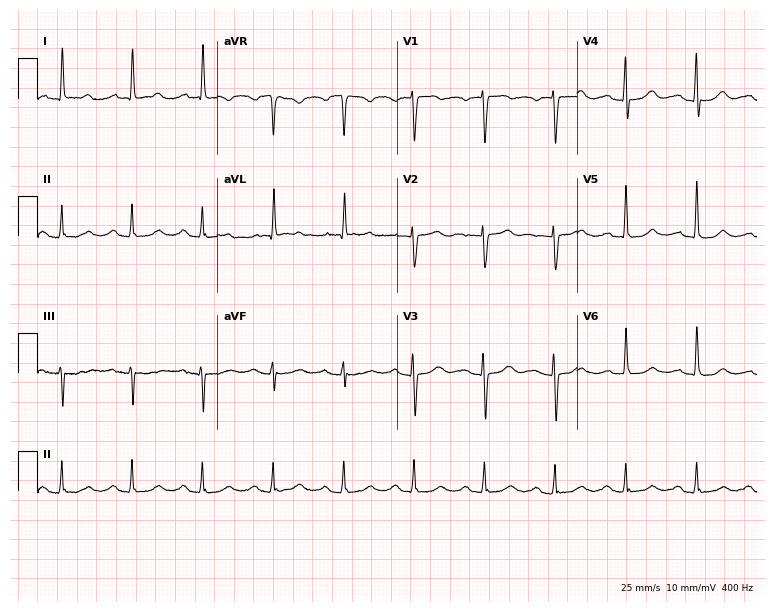
Electrocardiogram (7.3-second recording at 400 Hz), a 76-year-old female. Interpretation includes first-degree AV block.